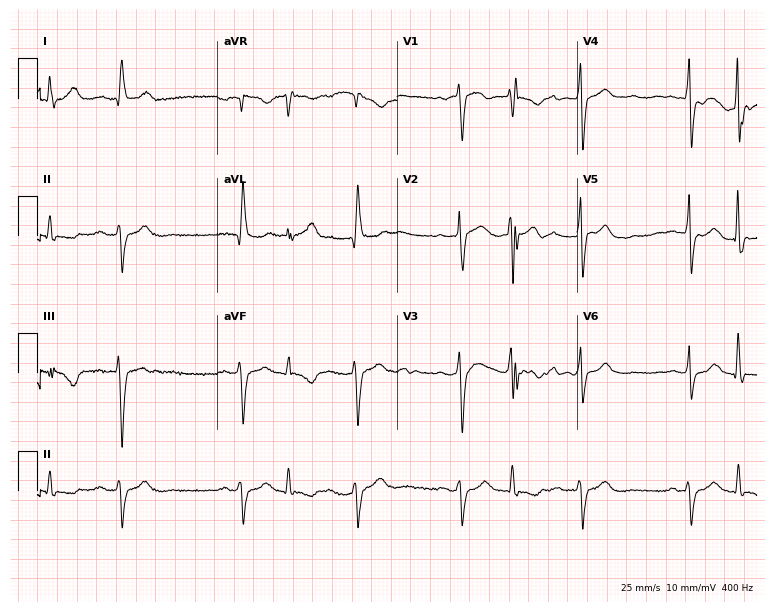
Standard 12-lead ECG recorded from a man, 66 years old (7.3-second recording at 400 Hz). None of these six findings is recorded: first-degree AV block, right bundle branch block, left bundle branch block, sinus bradycardia, atrial fibrillation, sinus tachycardia. Other findings, if any, are not listed.